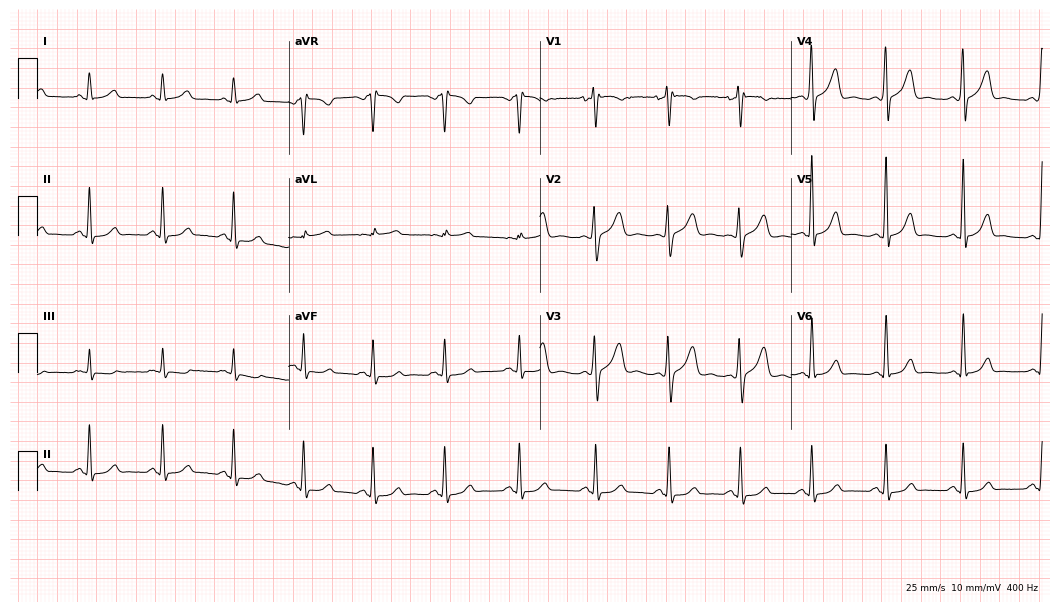
Electrocardiogram, a female patient, 26 years old. Overall reading on record: normal ECG.